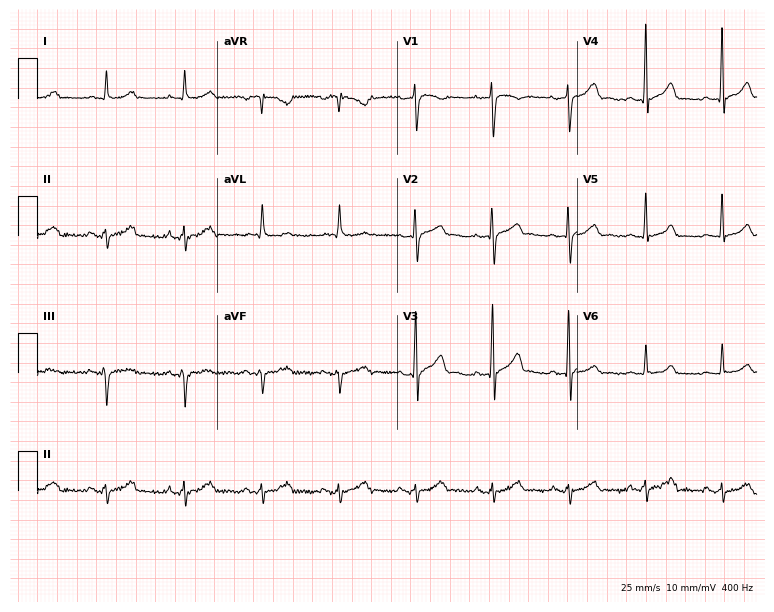
12-lead ECG from a male, 58 years old. Recorded interpretation: within normal limits.